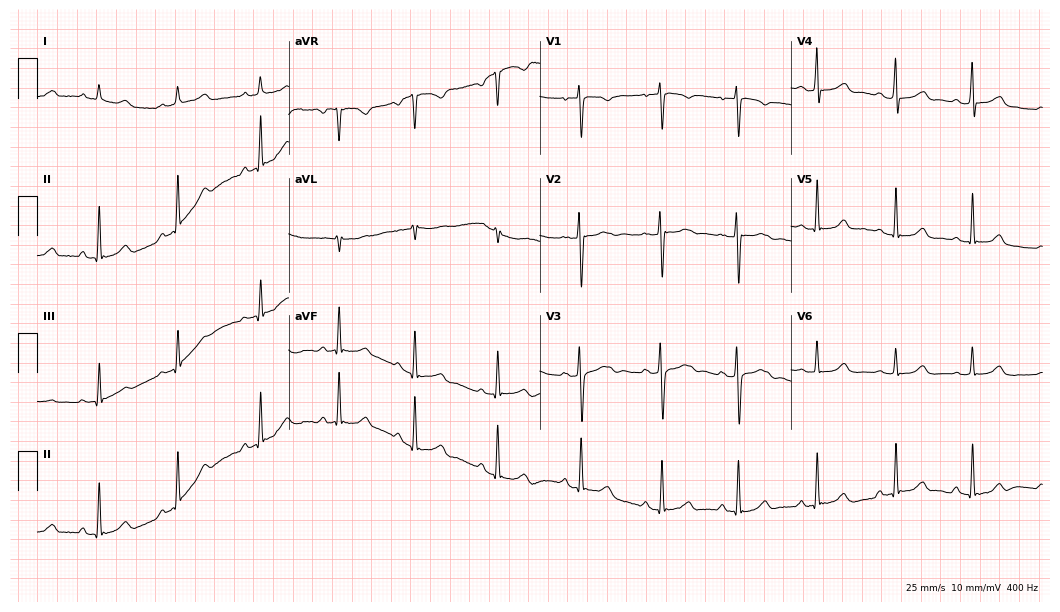
Standard 12-lead ECG recorded from a 20-year-old female (10.2-second recording at 400 Hz). Read as a normal ECG.